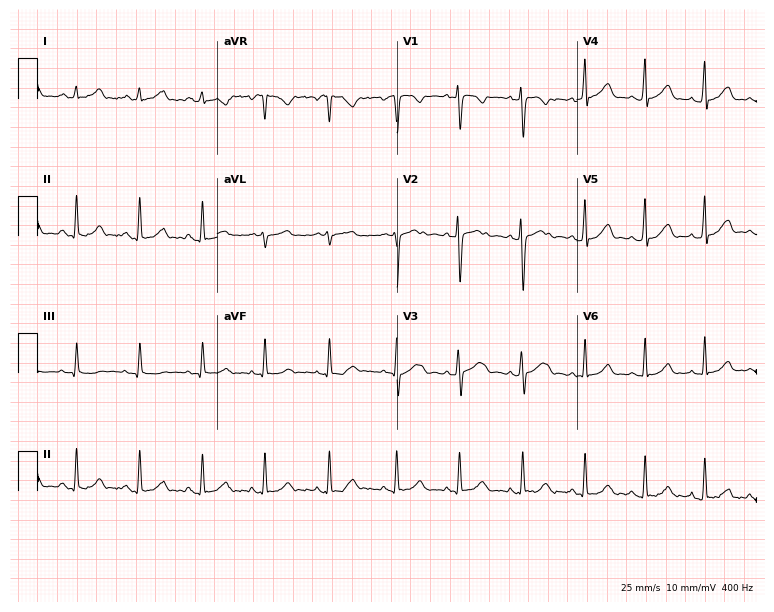
Standard 12-lead ECG recorded from a female, 23 years old. None of these six findings is recorded: first-degree AV block, right bundle branch block, left bundle branch block, sinus bradycardia, atrial fibrillation, sinus tachycardia.